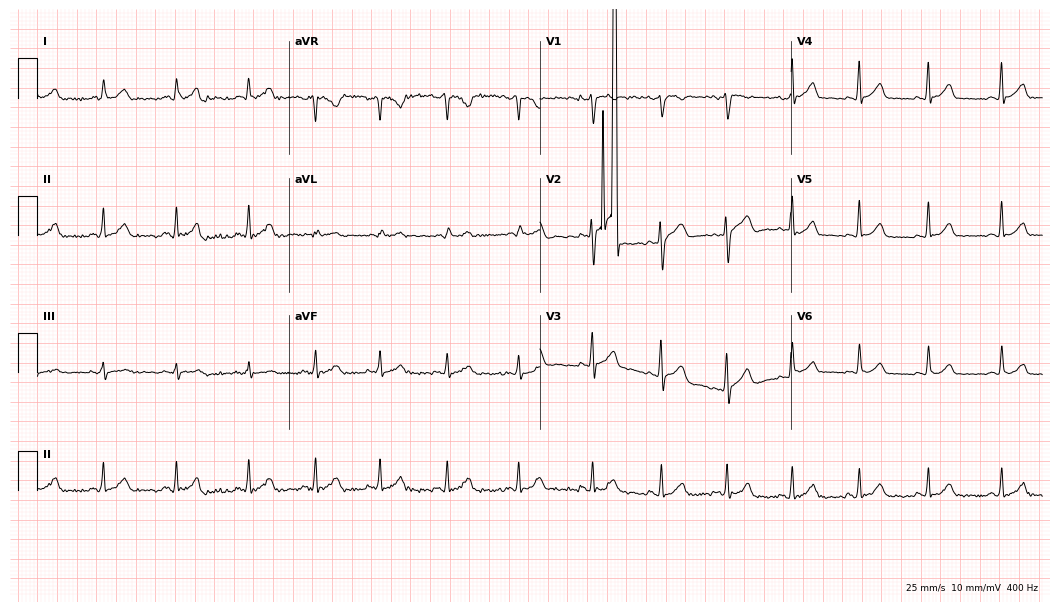
Standard 12-lead ECG recorded from a woman, 45 years old (10.2-second recording at 400 Hz). None of these six findings is recorded: first-degree AV block, right bundle branch block, left bundle branch block, sinus bradycardia, atrial fibrillation, sinus tachycardia.